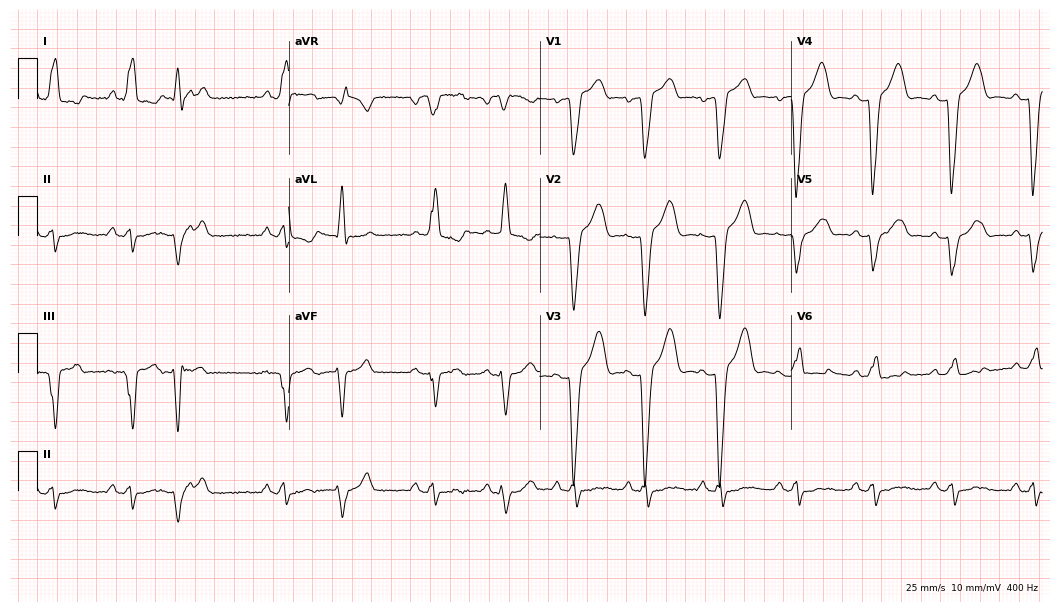
ECG (10.2-second recording at 400 Hz) — a male, 74 years old. Findings include left bundle branch block (LBBB).